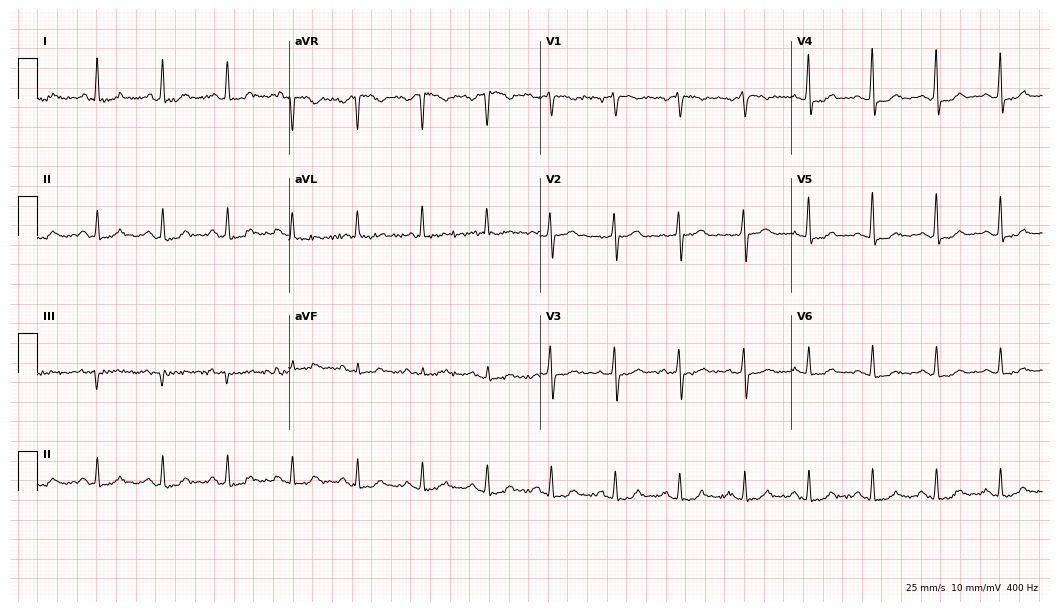
Resting 12-lead electrocardiogram. Patient: a 59-year-old female. Read as a normal ECG.